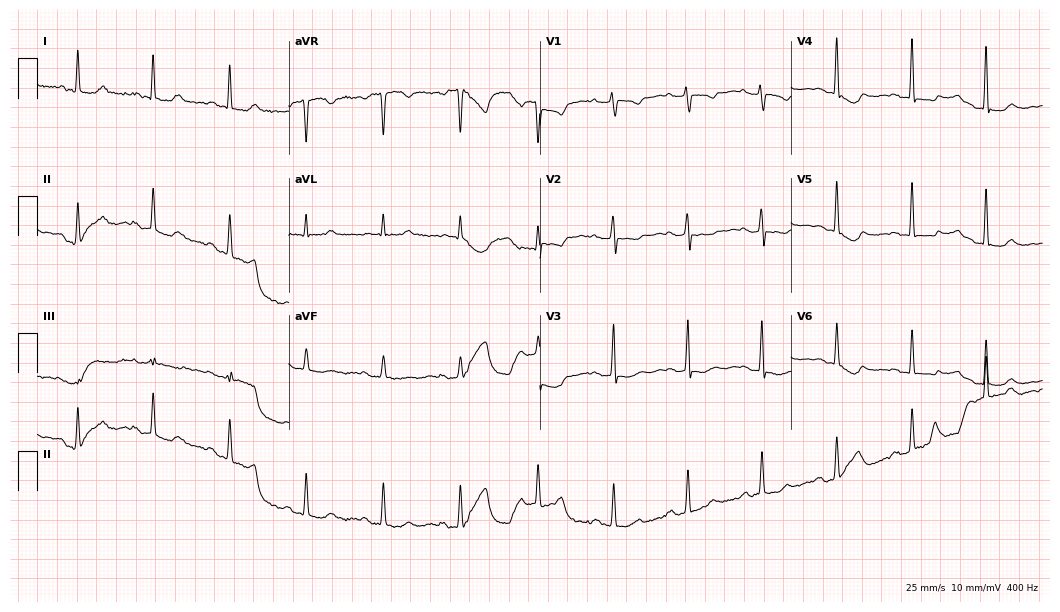
12-lead ECG from a 54-year-old female. No first-degree AV block, right bundle branch block (RBBB), left bundle branch block (LBBB), sinus bradycardia, atrial fibrillation (AF) or sinus tachycardia recorded for this tracing. Only these six findings were labelled.